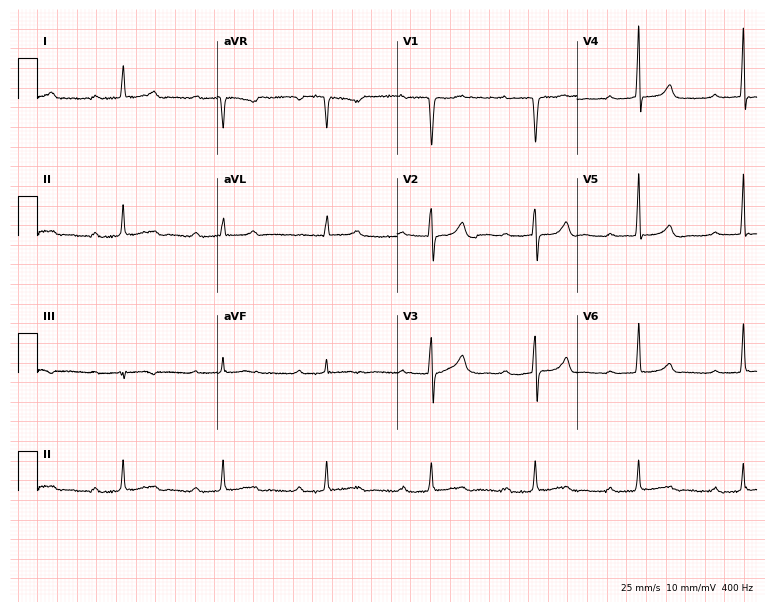
Resting 12-lead electrocardiogram (7.3-second recording at 400 Hz). Patient: a 69-year-old man. None of these six findings is recorded: first-degree AV block, right bundle branch block (RBBB), left bundle branch block (LBBB), sinus bradycardia, atrial fibrillation (AF), sinus tachycardia. Findings outside these six are not listed.